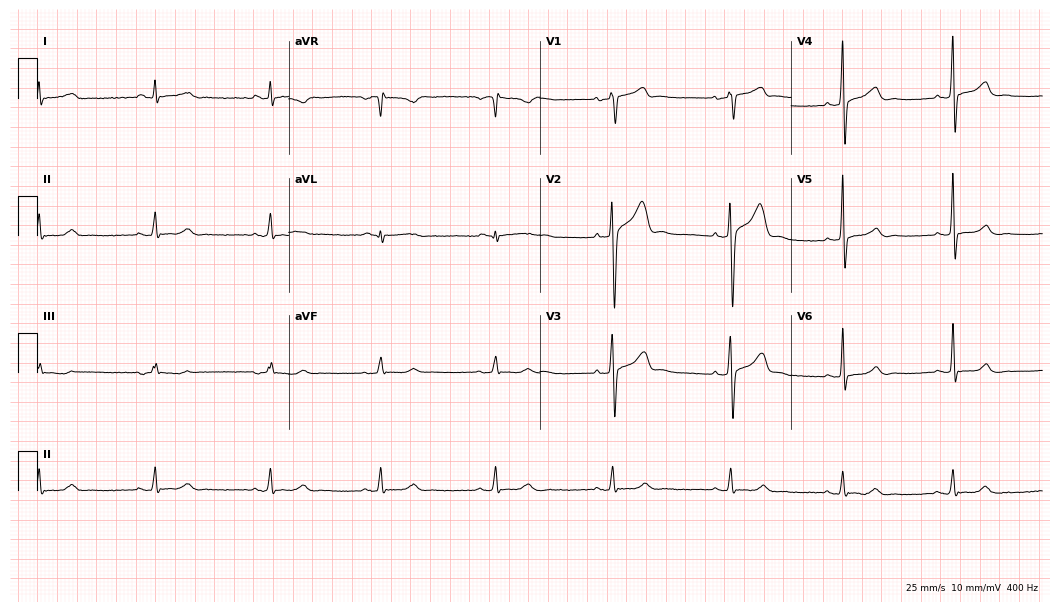
Standard 12-lead ECG recorded from a male patient, 58 years old. Read as a normal ECG.